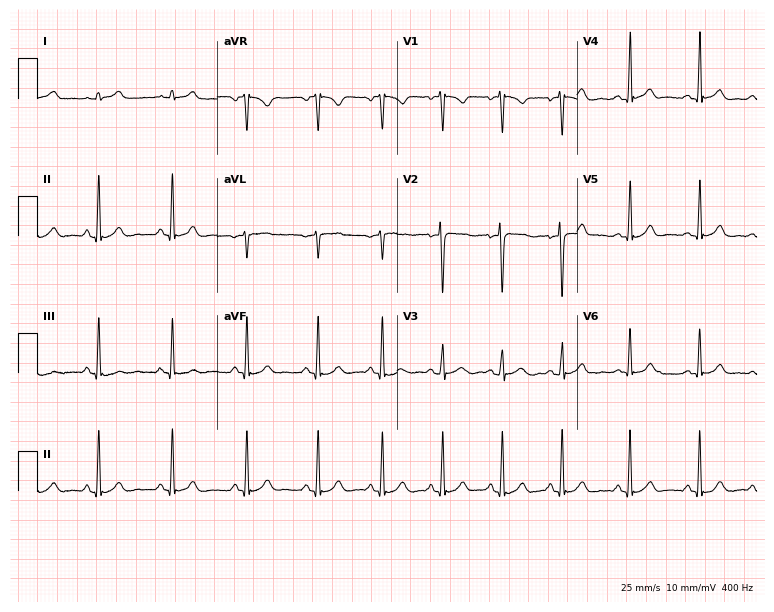
Standard 12-lead ECG recorded from a woman, 18 years old. Read as a normal ECG.